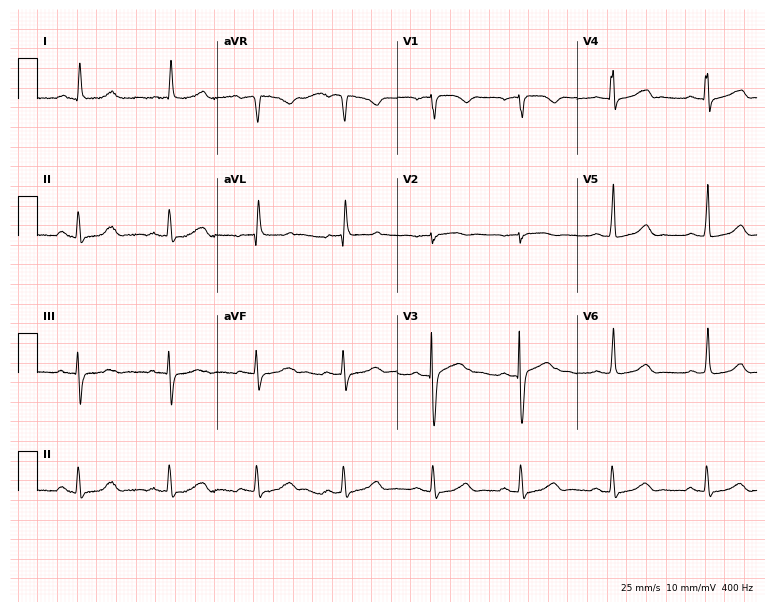
12-lead ECG (7.3-second recording at 400 Hz) from a woman, 74 years old. Labelled as a normal ECG.